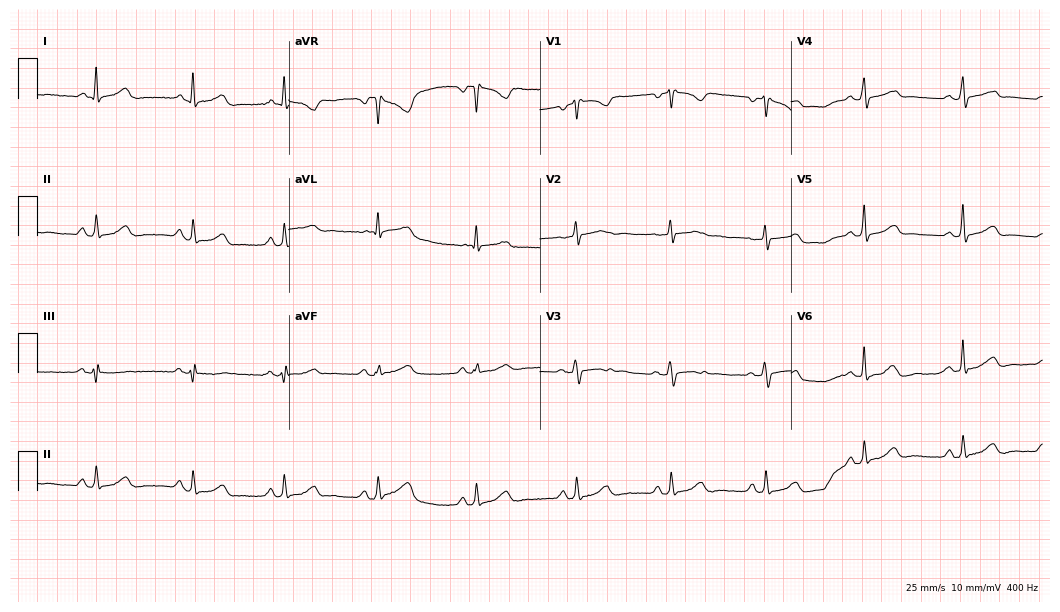
12-lead ECG from a 46-year-old female (10.2-second recording at 400 Hz). No first-degree AV block, right bundle branch block, left bundle branch block, sinus bradycardia, atrial fibrillation or sinus tachycardia recorded for this tracing.